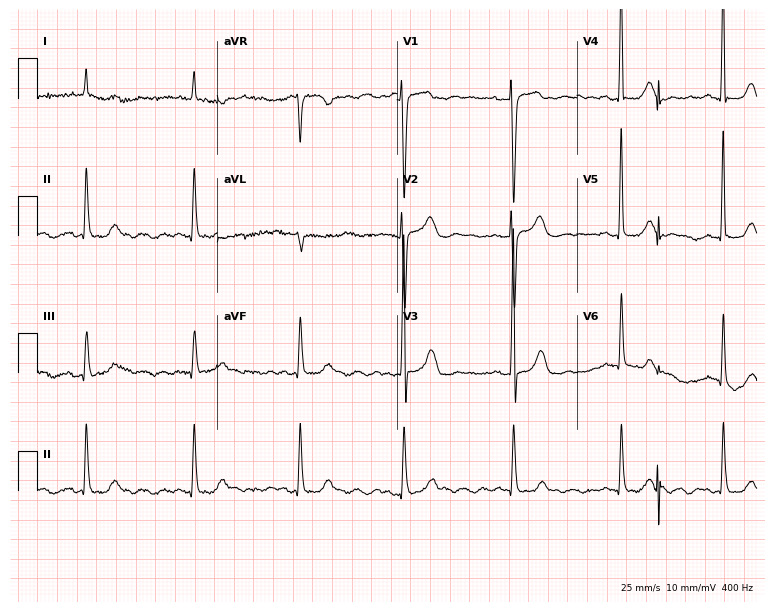
Standard 12-lead ECG recorded from a female patient, 73 years old. Read as a normal ECG.